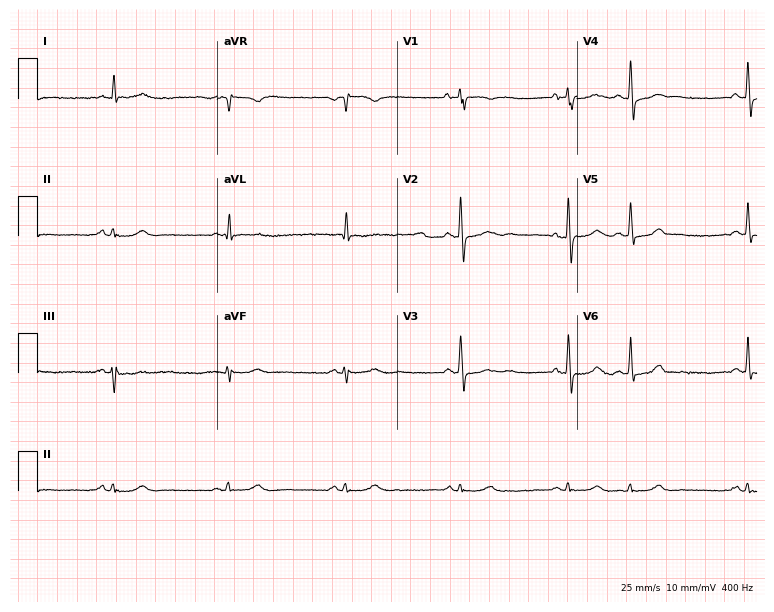
12-lead ECG from a man, 86 years old. Screened for six findings — first-degree AV block, right bundle branch block, left bundle branch block, sinus bradycardia, atrial fibrillation, sinus tachycardia — none is recorded.